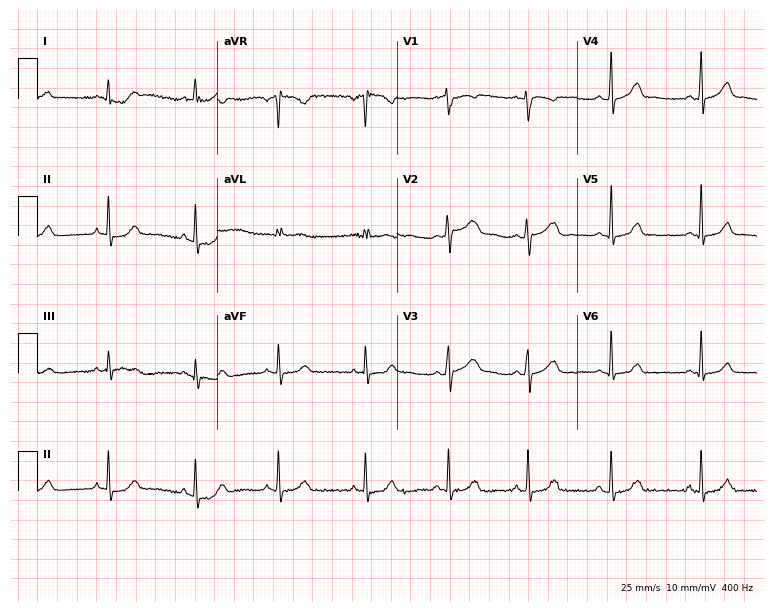
Electrocardiogram, a woman, 18 years old. Overall reading on record: normal ECG.